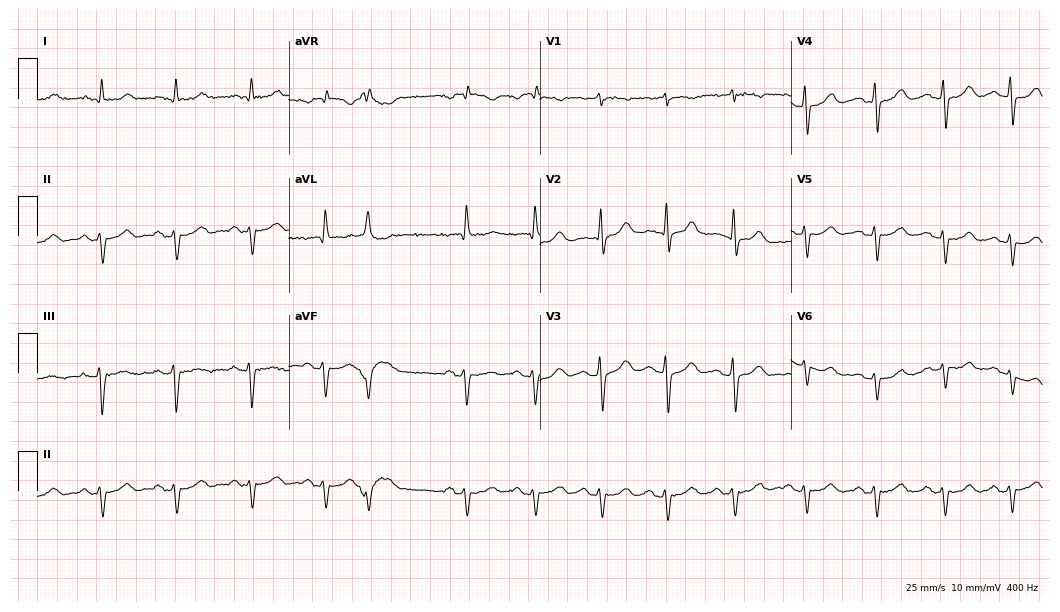
Resting 12-lead electrocardiogram (10.2-second recording at 400 Hz). Patient: a man, 85 years old. None of these six findings is recorded: first-degree AV block, right bundle branch block, left bundle branch block, sinus bradycardia, atrial fibrillation, sinus tachycardia.